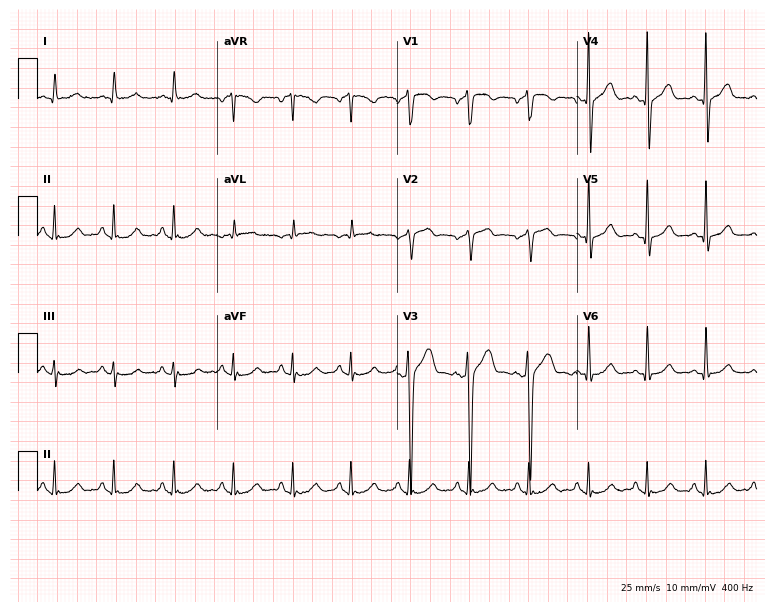
12-lead ECG (7.3-second recording at 400 Hz) from a male, 59 years old. Labelled as a normal ECG.